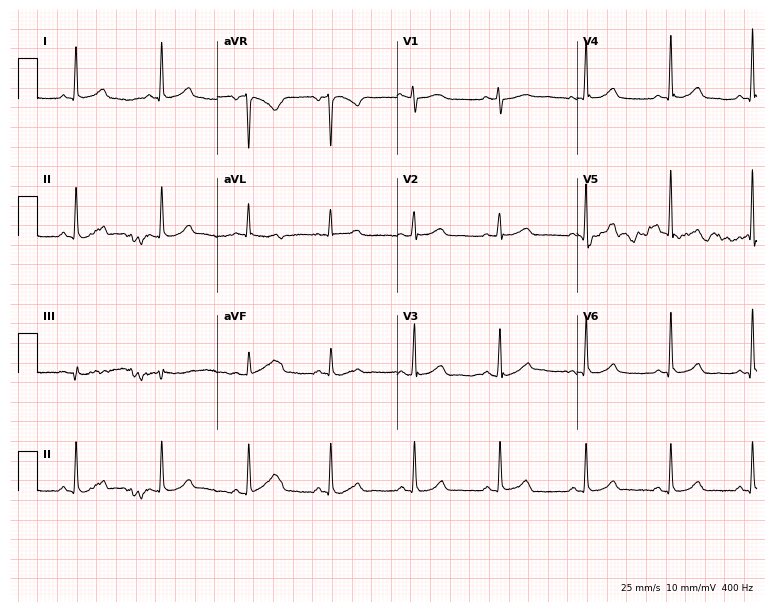
12-lead ECG (7.3-second recording at 400 Hz) from a 48-year-old female. Labelled as a normal ECG.